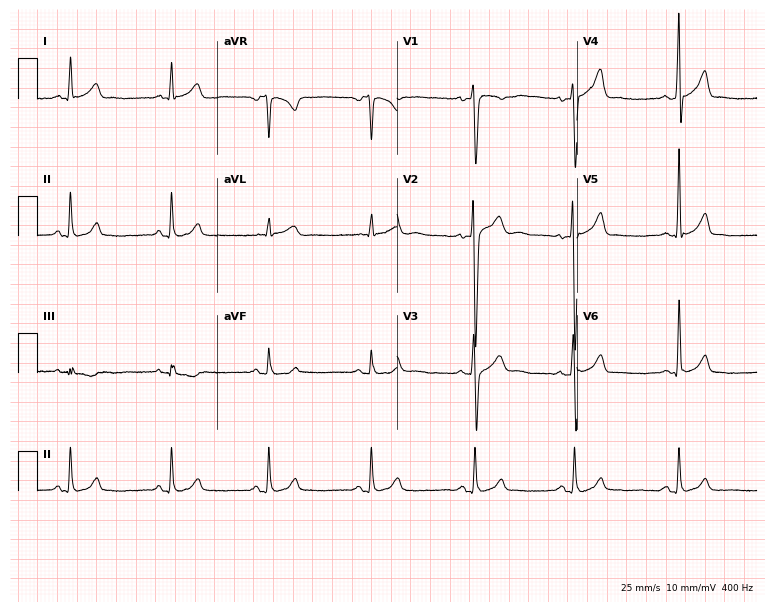
12-lead ECG (7.3-second recording at 400 Hz) from a 25-year-old male. Labelled as a normal ECG.